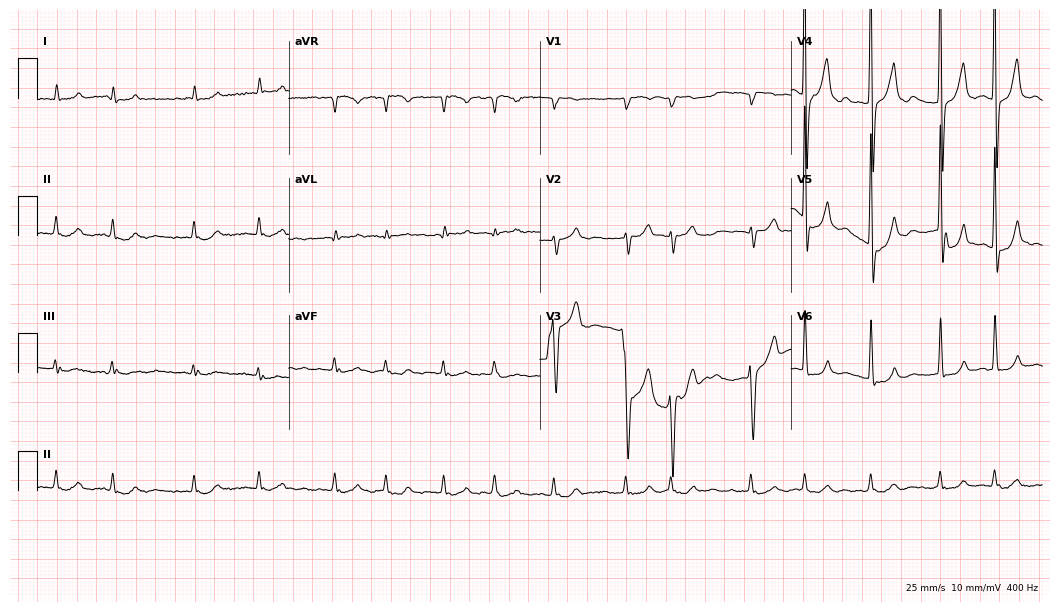
12-lead ECG (10.2-second recording at 400 Hz) from a 73-year-old male. Findings include atrial fibrillation.